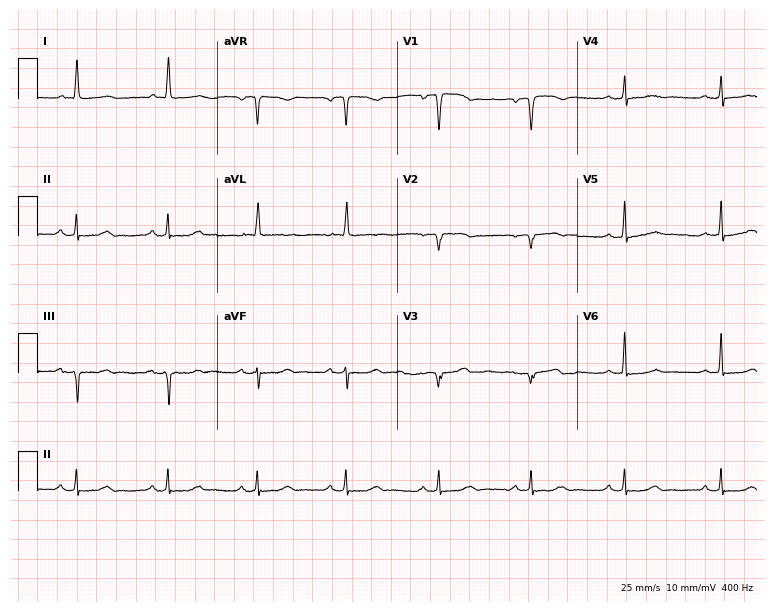
12-lead ECG from a 70-year-old woman. No first-degree AV block, right bundle branch block, left bundle branch block, sinus bradycardia, atrial fibrillation or sinus tachycardia recorded for this tracing. Other findings, if any, are not listed.